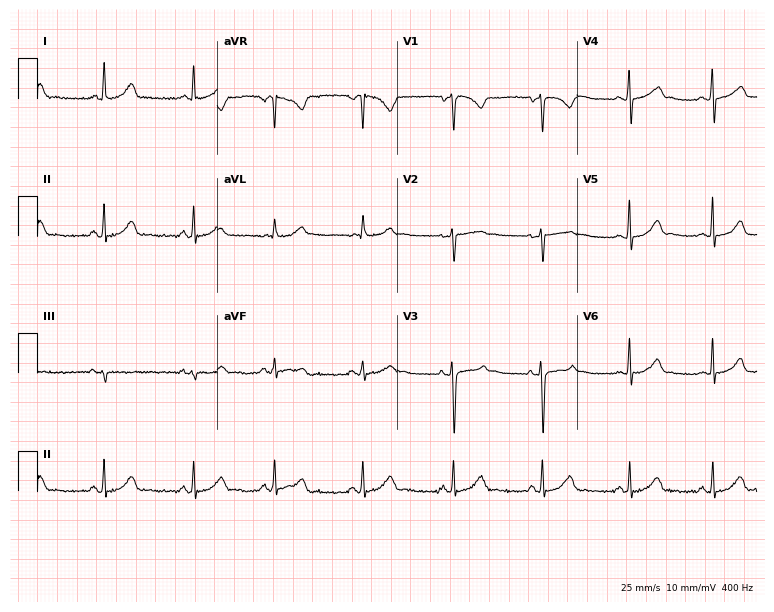
12-lead ECG from a woman, 26 years old (7.3-second recording at 400 Hz). No first-degree AV block, right bundle branch block, left bundle branch block, sinus bradycardia, atrial fibrillation or sinus tachycardia recorded for this tracing.